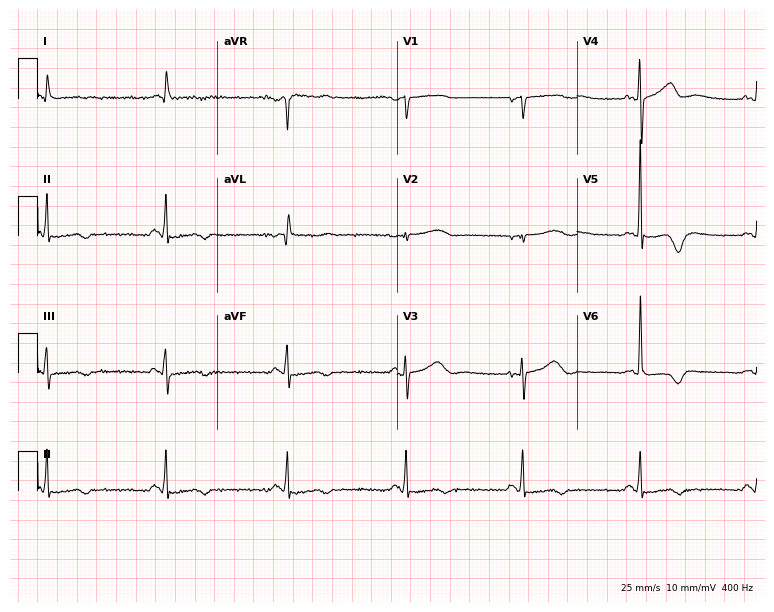
ECG (7.3-second recording at 400 Hz) — a female patient, 82 years old. Findings include sinus bradycardia (a sinus rate of 50 beats per minute or less).